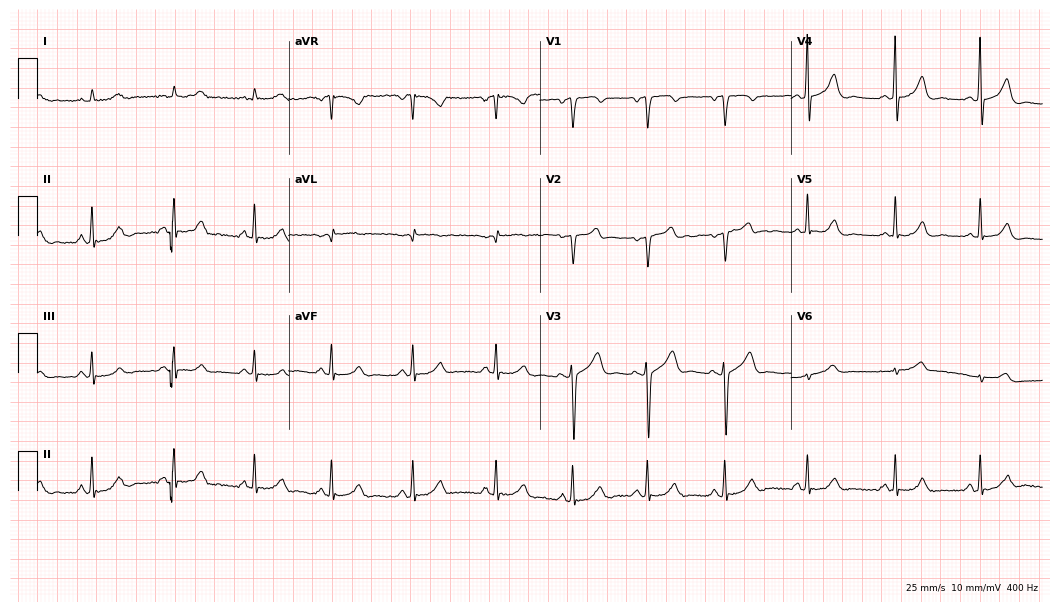
12-lead ECG from a 60-year-old female. Recorded interpretation: within normal limits.